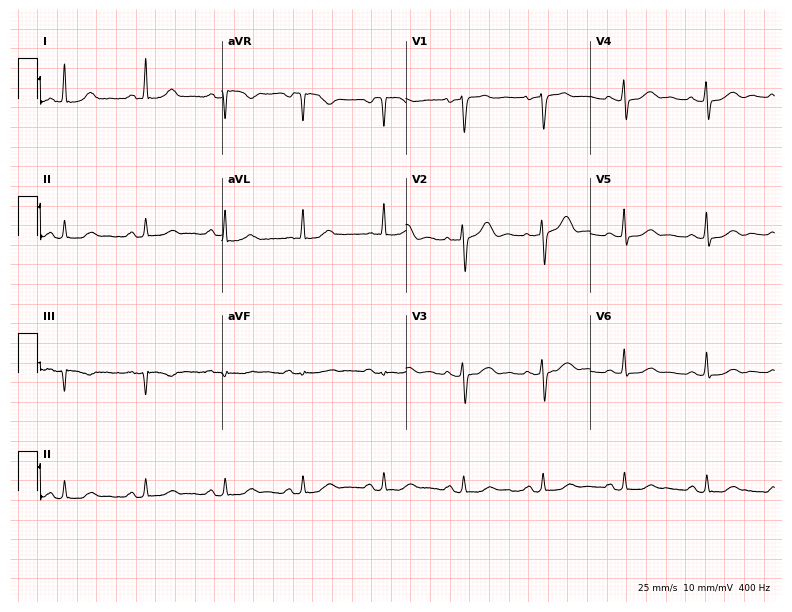
12-lead ECG from a female patient, 64 years old. Recorded interpretation: within normal limits.